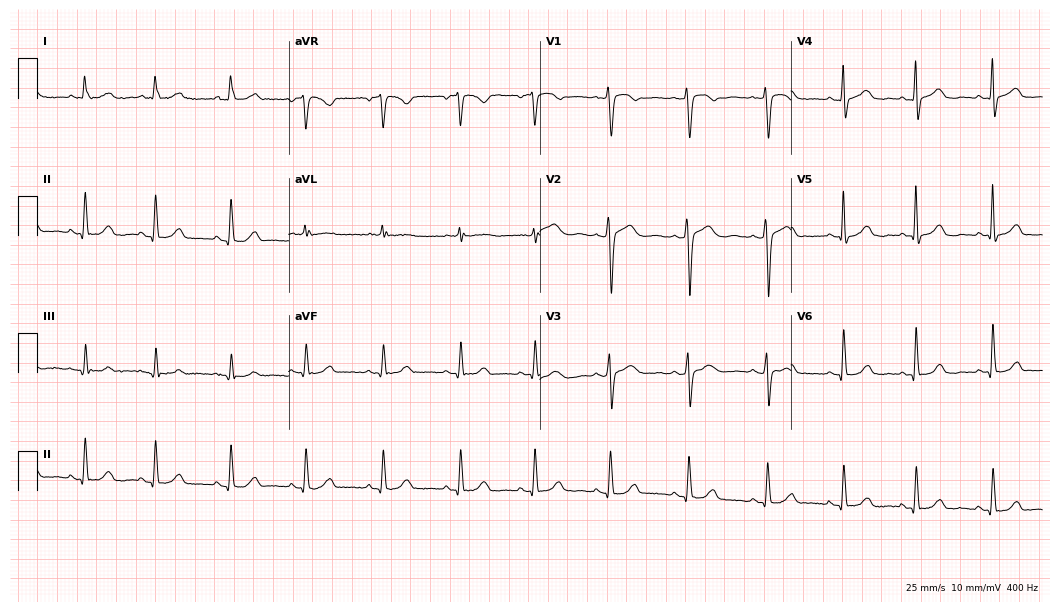
12-lead ECG from a 48-year-old woman (10.2-second recording at 400 Hz). Recorded interpretation: within normal limits.